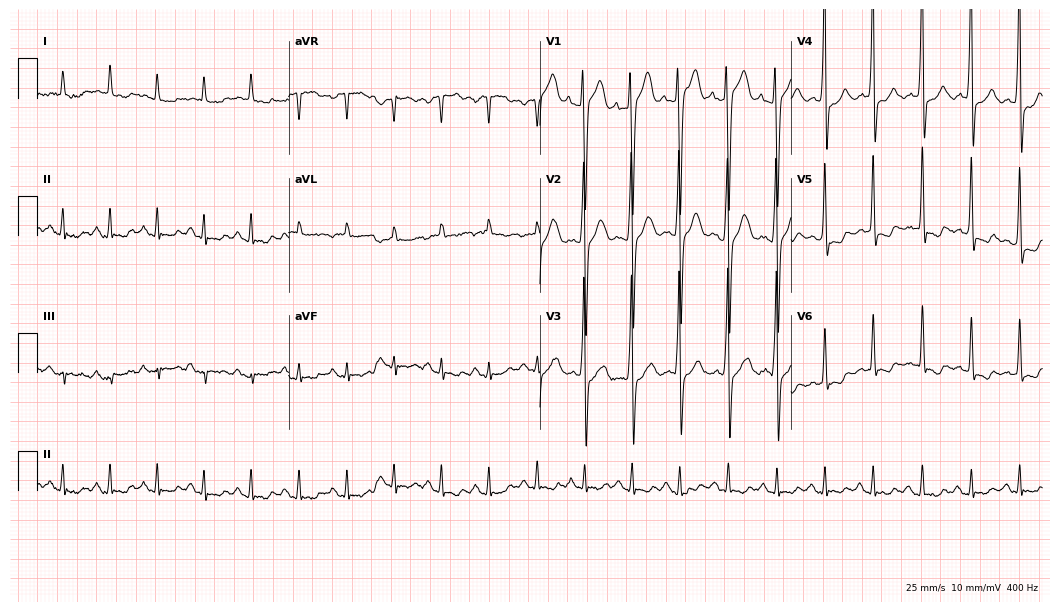
12-lead ECG from a 55-year-old male patient (10.2-second recording at 400 Hz). No first-degree AV block, right bundle branch block, left bundle branch block, sinus bradycardia, atrial fibrillation or sinus tachycardia recorded for this tracing.